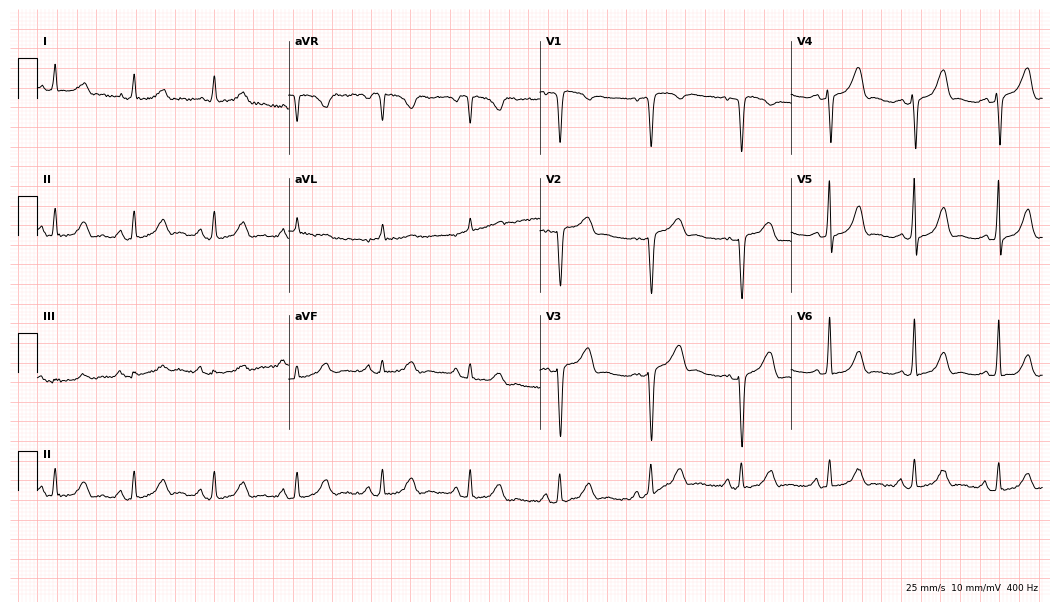
Resting 12-lead electrocardiogram (10.2-second recording at 400 Hz). Patient: a 51-year-old female. Read as a normal ECG.